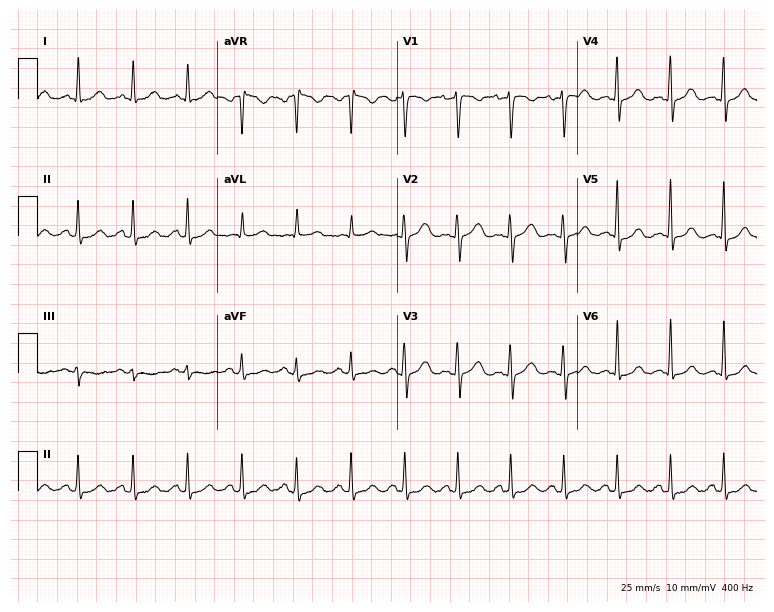
Standard 12-lead ECG recorded from a 48-year-old female patient. The tracing shows sinus tachycardia (a sinus rate of 100 beats per minute or more).